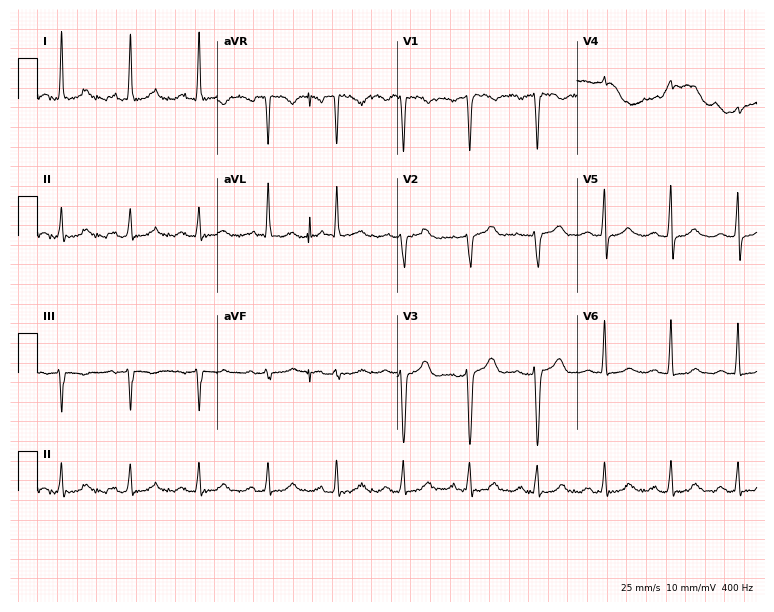
12-lead ECG (7.3-second recording at 400 Hz) from a 42-year-old woman. Labelled as a normal ECG.